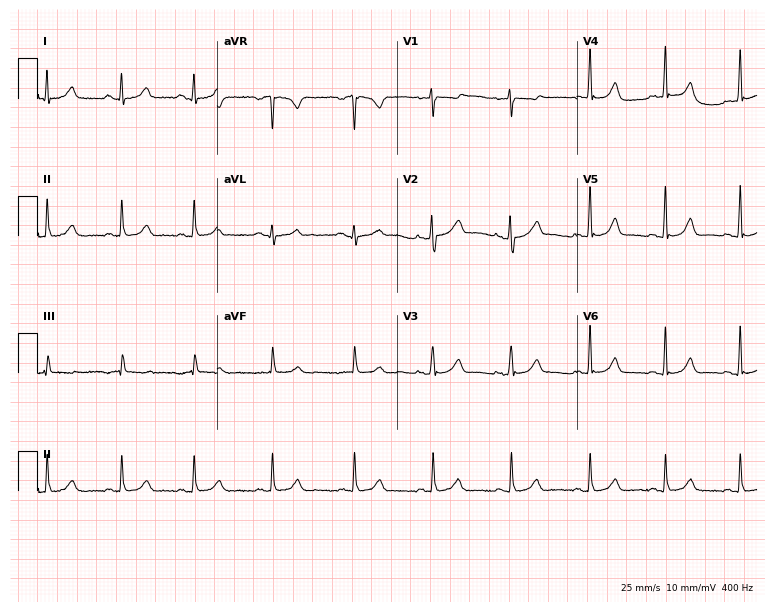
ECG — a 31-year-old female patient. Labelled as a normal ECG.